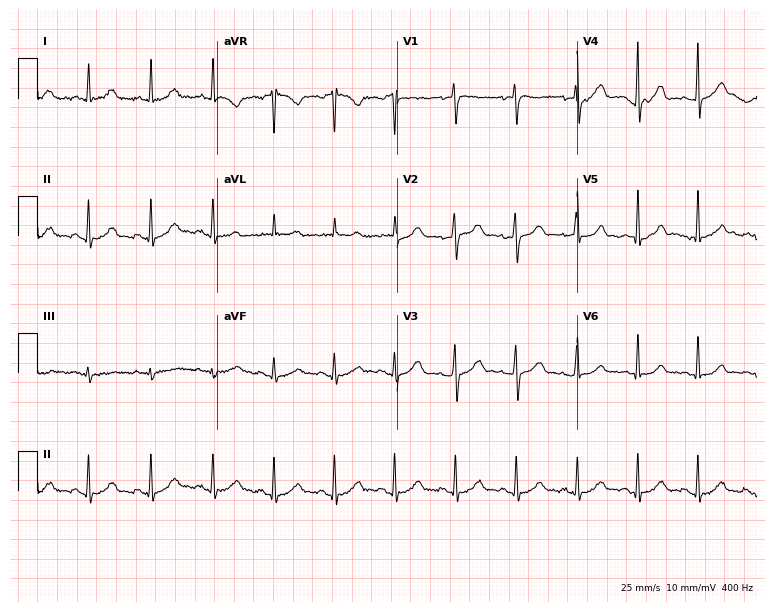
ECG (7.3-second recording at 400 Hz) — a female, 40 years old. Screened for six findings — first-degree AV block, right bundle branch block, left bundle branch block, sinus bradycardia, atrial fibrillation, sinus tachycardia — none is recorded. Other findings, if any, are not listed.